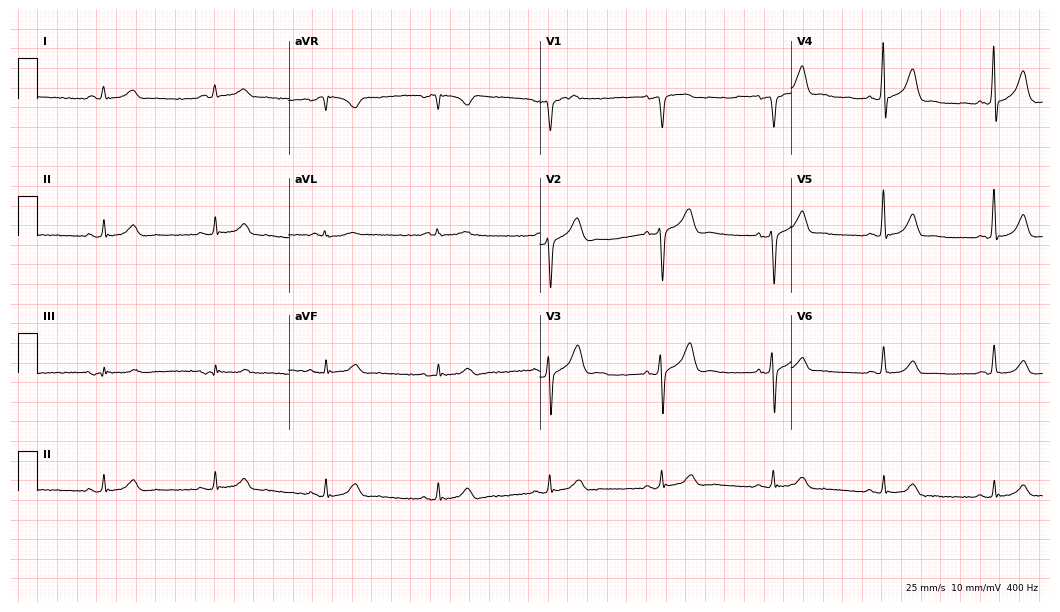
Electrocardiogram, a male patient, 66 years old. Of the six screened findings (first-degree AV block, right bundle branch block (RBBB), left bundle branch block (LBBB), sinus bradycardia, atrial fibrillation (AF), sinus tachycardia), none is recorded. Only these six findings were labelled.